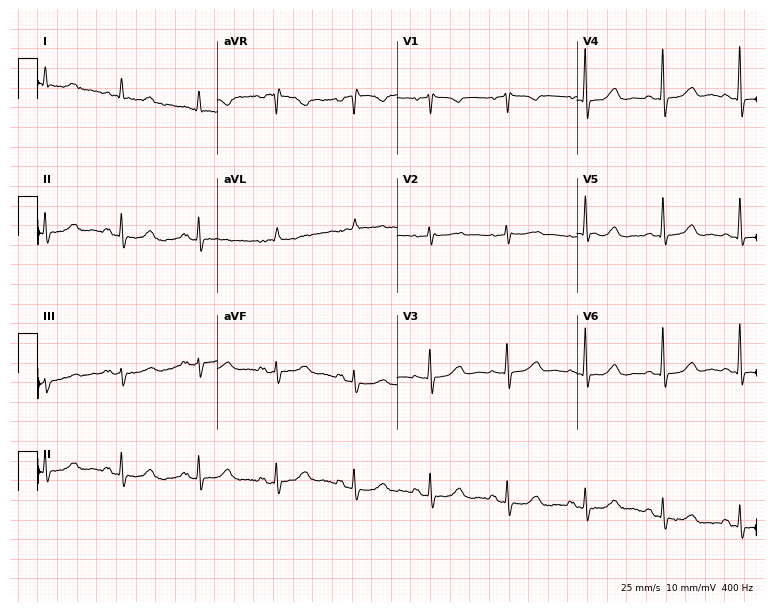
Resting 12-lead electrocardiogram (7.3-second recording at 400 Hz). Patient: a 77-year-old female. None of these six findings is recorded: first-degree AV block, right bundle branch block (RBBB), left bundle branch block (LBBB), sinus bradycardia, atrial fibrillation (AF), sinus tachycardia.